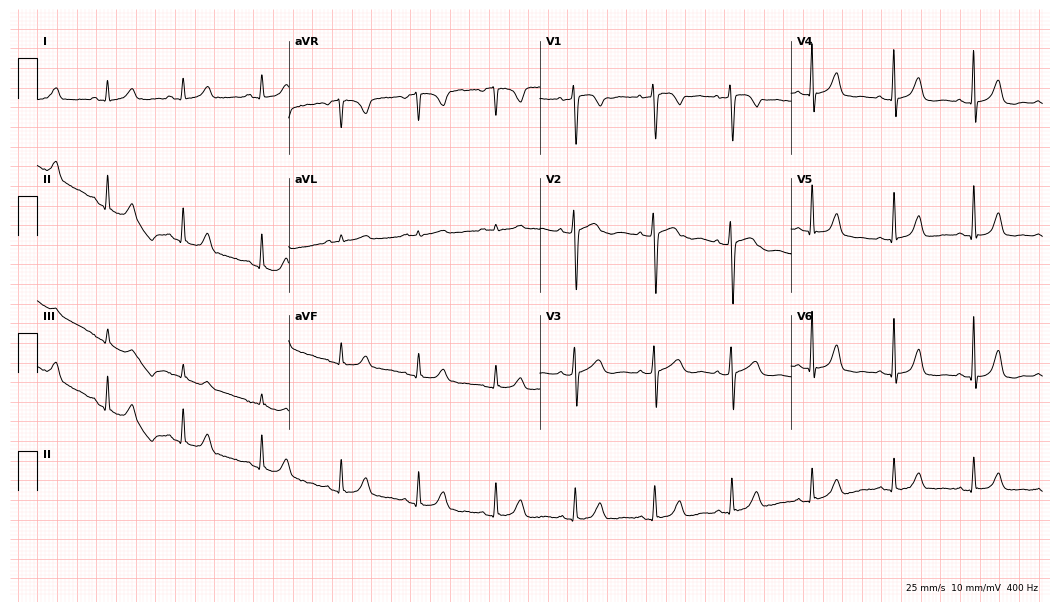
ECG — a female patient, 63 years old. Labelled as a normal ECG.